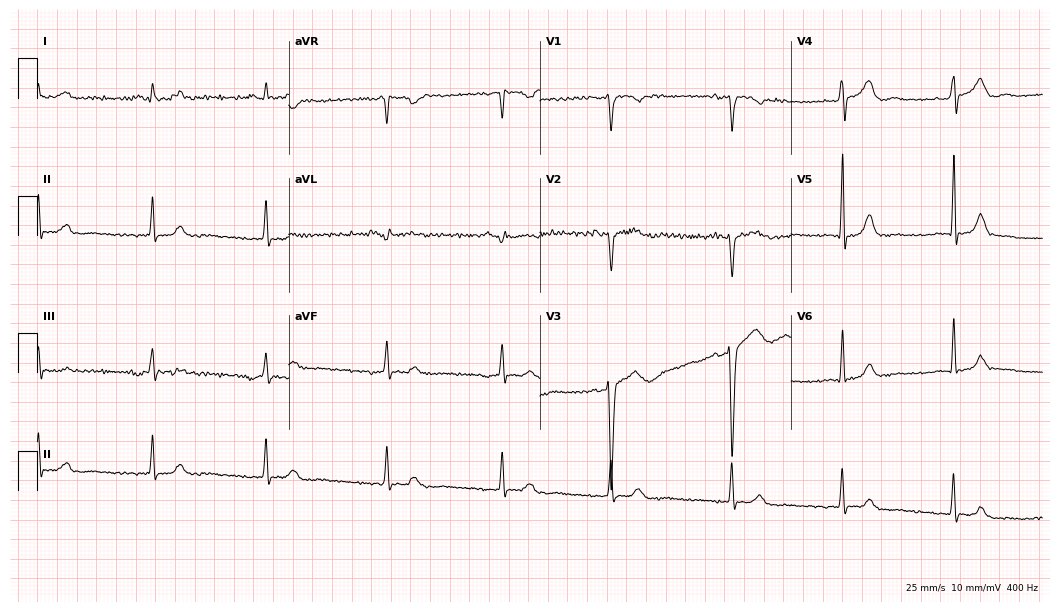
Resting 12-lead electrocardiogram (10.2-second recording at 400 Hz). Patient: a male, 42 years old. None of these six findings is recorded: first-degree AV block, right bundle branch block, left bundle branch block, sinus bradycardia, atrial fibrillation, sinus tachycardia. Other findings, if any, are not listed.